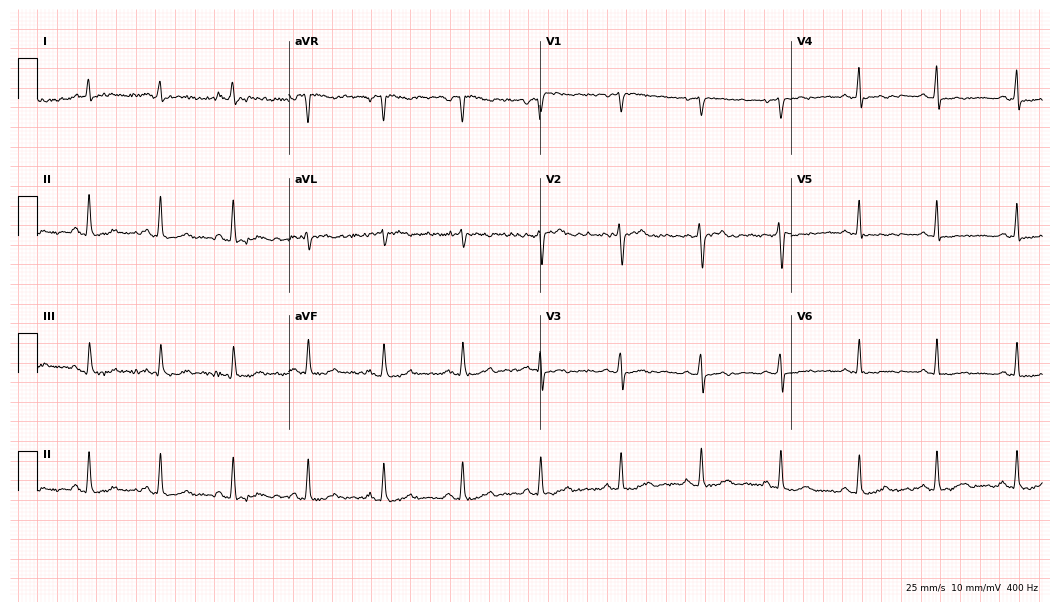
Resting 12-lead electrocardiogram (10.2-second recording at 400 Hz). Patient: a 43-year-old female. None of these six findings is recorded: first-degree AV block, right bundle branch block, left bundle branch block, sinus bradycardia, atrial fibrillation, sinus tachycardia.